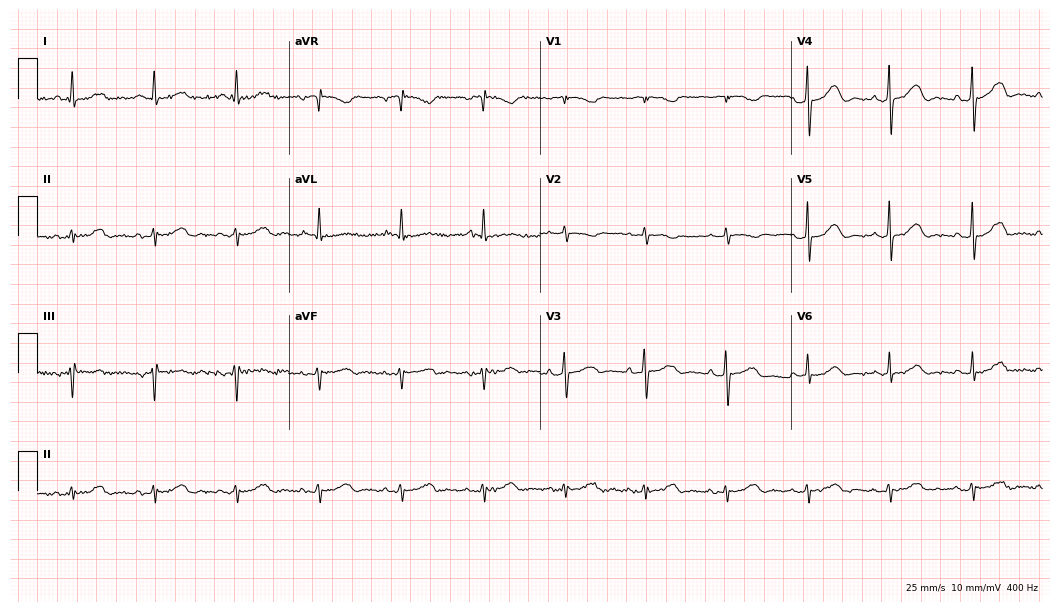
Resting 12-lead electrocardiogram. Patient: a female, 74 years old. None of these six findings is recorded: first-degree AV block, right bundle branch block, left bundle branch block, sinus bradycardia, atrial fibrillation, sinus tachycardia.